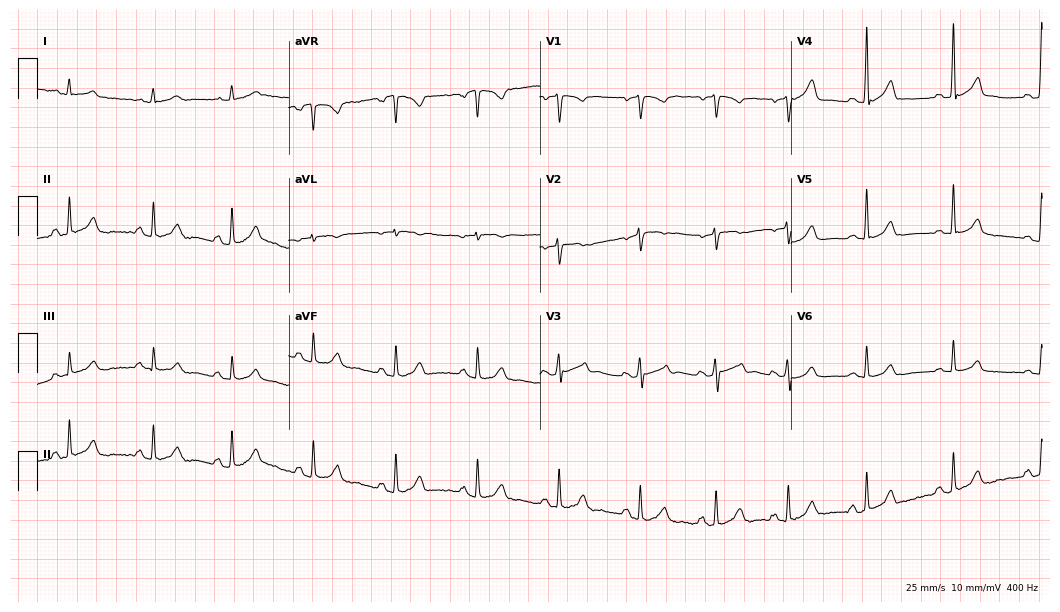
12-lead ECG (10.2-second recording at 400 Hz) from a 42-year-old female. Labelled as a normal ECG.